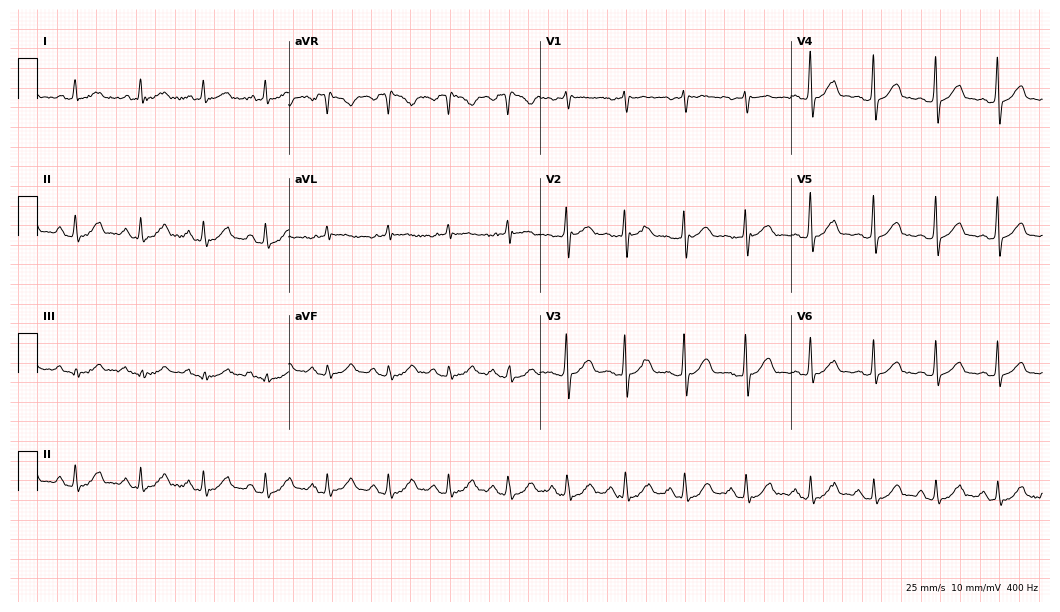
ECG (10.2-second recording at 400 Hz) — a female, 60 years old. Labelled as a normal ECG.